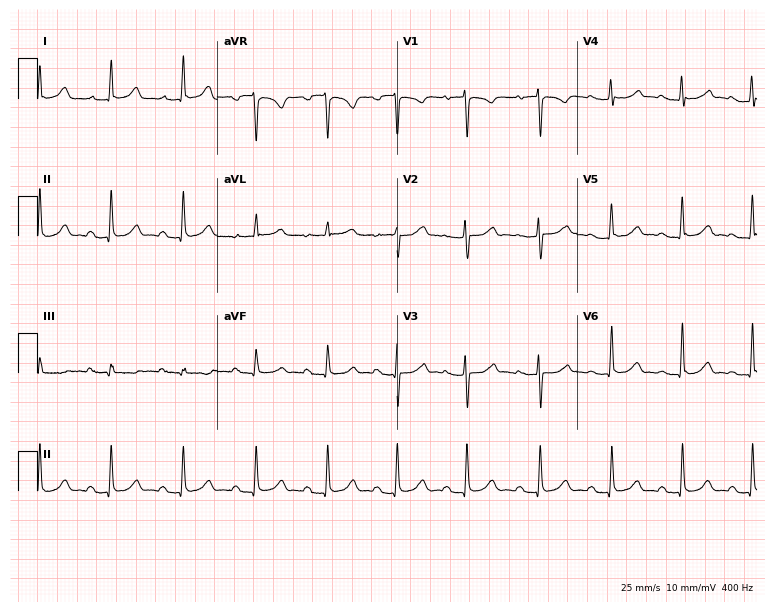
Resting 12-lead electrocardiogram. Patient: a female, 21 years old. Read as a normal ECG.